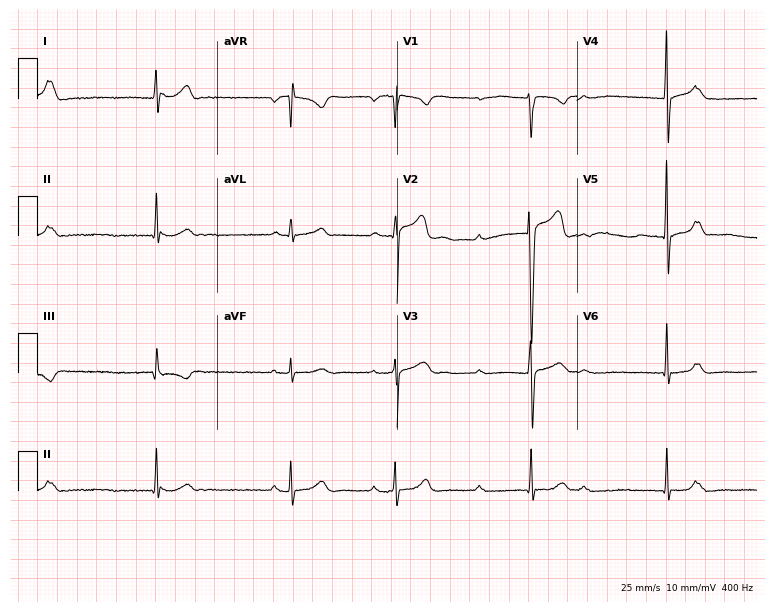
ECG (7.3-second recording at 400 Hz) — a 23-year-old man. Screened for six findings — first-degree AV block, right bundle branch block, left bundle branch block, sinus bradycardia, atrial fibrillation, sinus tachycardia — none is recorded. Other findings, if any, are not listed.